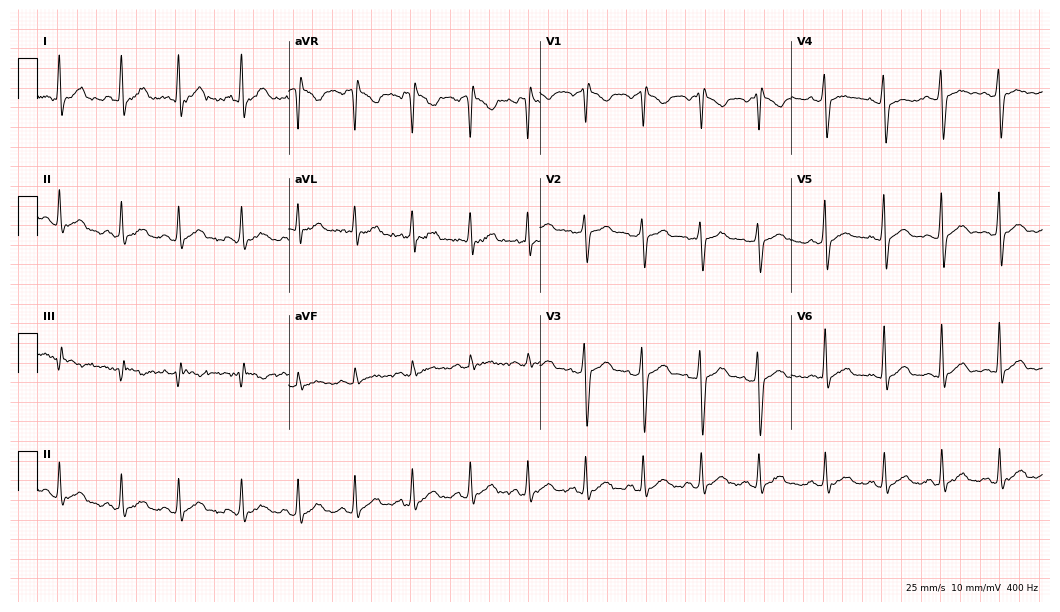
Electrocardiogram (10.2-second recording at 400 Hz), a male patient, 35 years old. Of the six screened findings (first-degree AV block, right bundle branch block (RBBB), left bundle branch block (LBBB), sinus bradycardia, atrial fibrillation (AF), sinus tachycardia), none is recorded.